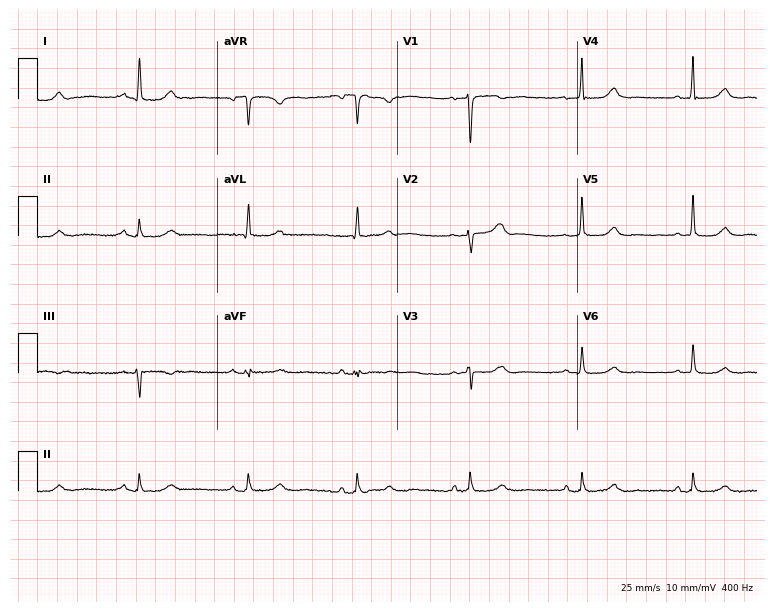
Resting 12-lead electrocardiogram (7.3-second recording at 400 Hz). Patient: a 68-year-old female. None of these six findings is recorded: first-degree AV block, right bundle branch block, left bundle branch block, sinus bradycardia, atrial fibrillation, sinus tachycardia. Only these six findings were labelled.